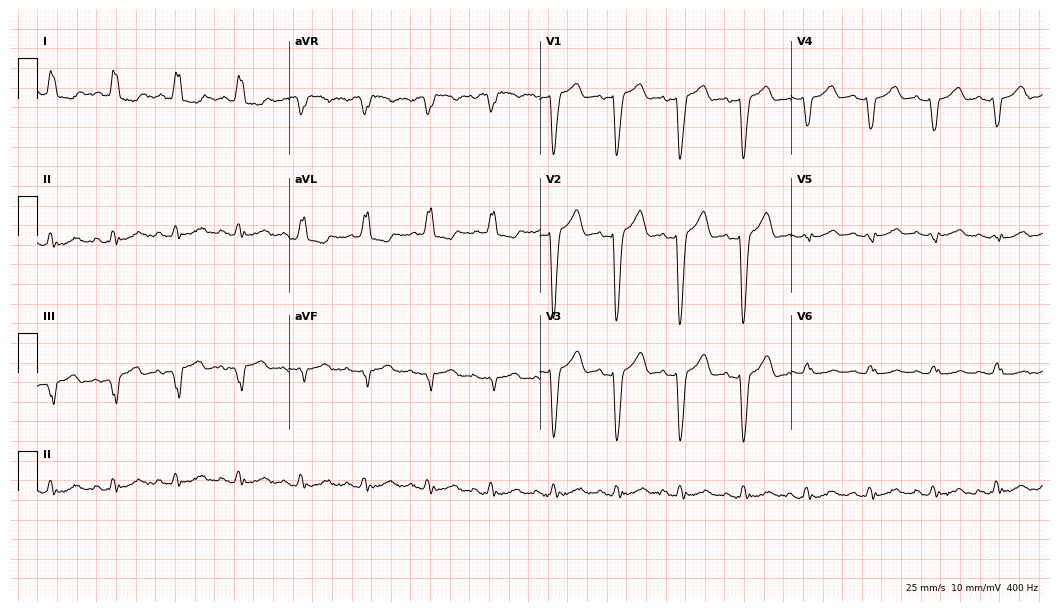
12-lead ECG from a female, 73 years old. Findings include left bundle branch block.